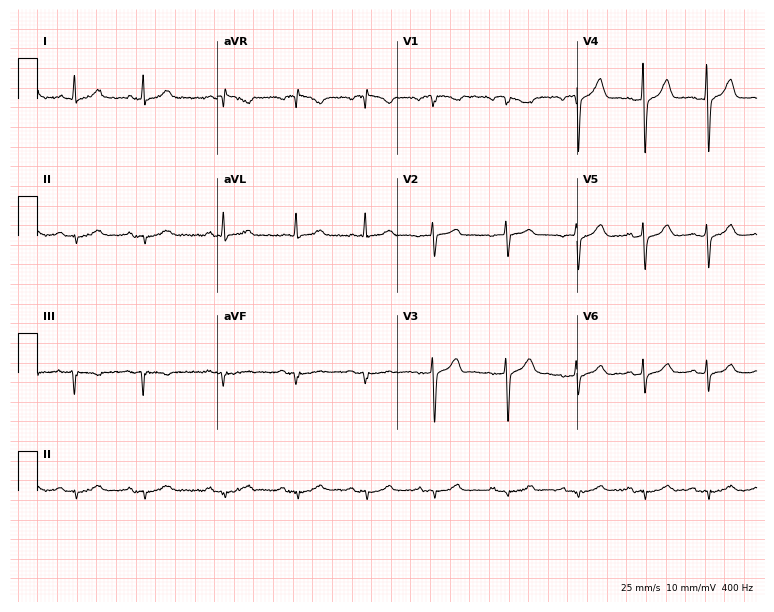
Standard 12-lead ECG recorded from a 77-year-old male (7.3-second recording at 400 Hz). None of these six findings is recorded: first-degree AV block, right bundle branch block, left bundle branch block, sinus bradycardia, atrial fibrillation, sinus tachycardia.